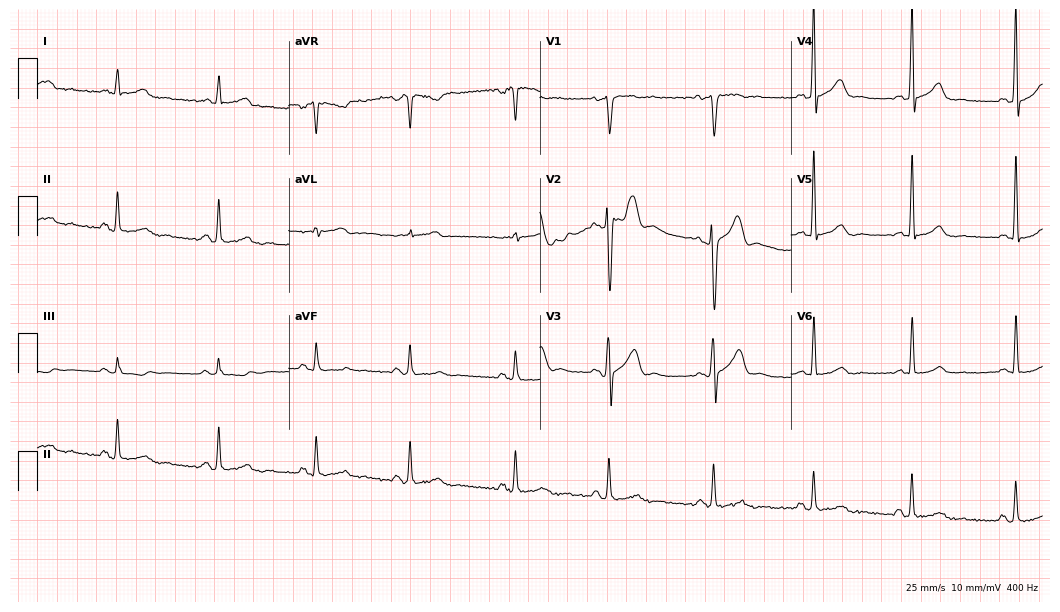
12-lead ECG from a 43-year-old male (10.2-second recording at 400 Hz). Recorded interpretation: within normal limits.